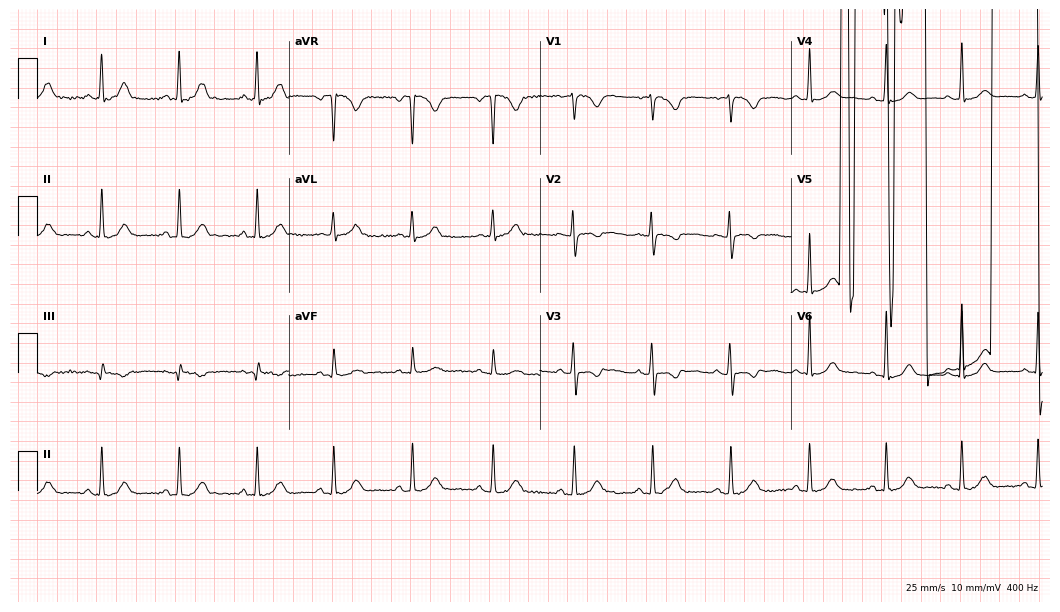
12-lead ECG from a female, 39 years old. No first-degree AV block, right bundle branch block, left bundle branch block, sinus bradycardia, atrial fibrillation or sinus tachycardia recorded for this tracing.